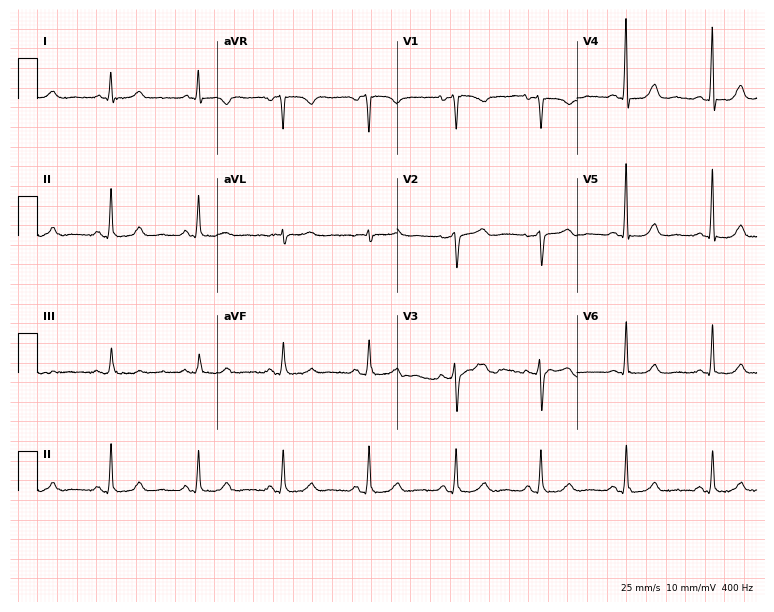
Standard 12-lead ECG recorded from a female, 55 years old. None of these six findings is recorded: first-degree AV block, right bundle branch block (RBBB), left bundle branch block (LBBB), sinus bradycardia, atrial fibrillation (AF), sinus tachycardia. Other findings, if any, are not listed.